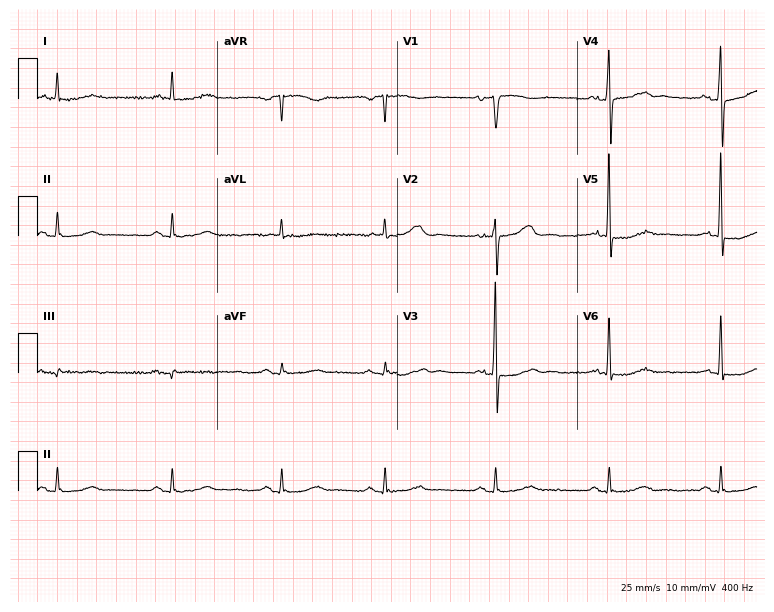
Standard 12-lead ECG recorded from an 81-year-old male. None of these six findings is recorded: first-degree AV block, right bundle branch block, left bundle branch block, sinus bradycardia, atrial fibrillation, sinus tachycardia.